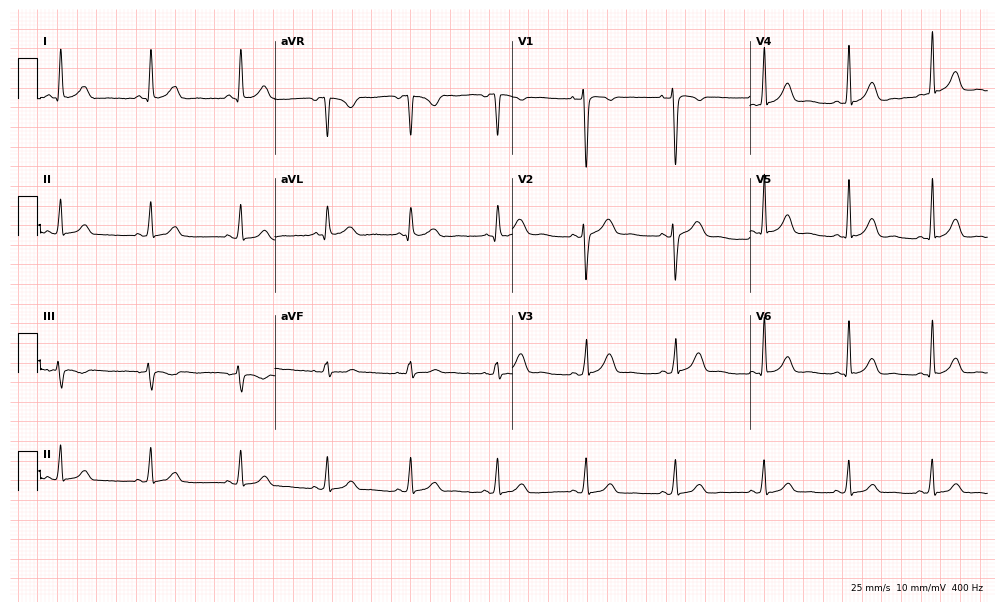
Standard 12-lead ECG recorded from a woman, 36 years old (9.7-second recording at 400 Hz). Read as a normal ECG.